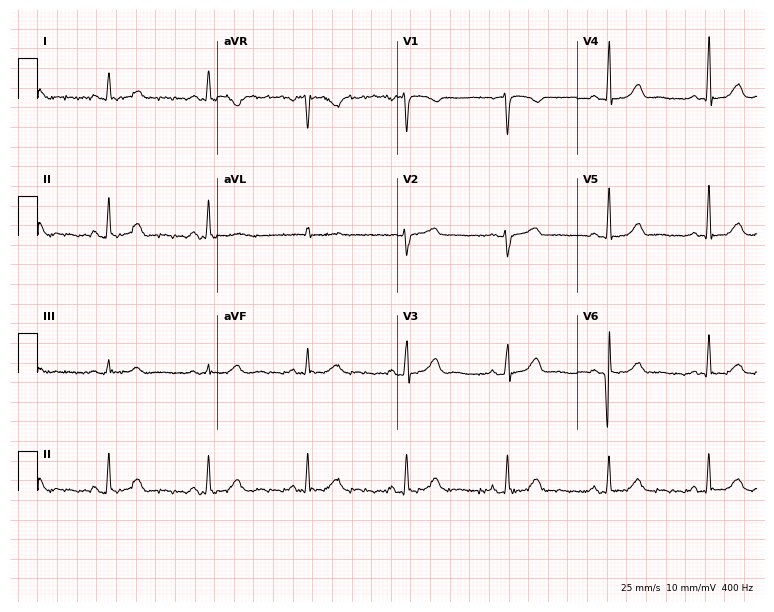
12-lead ECG from a woman, 58 years old. Labelled as a normal ECG.